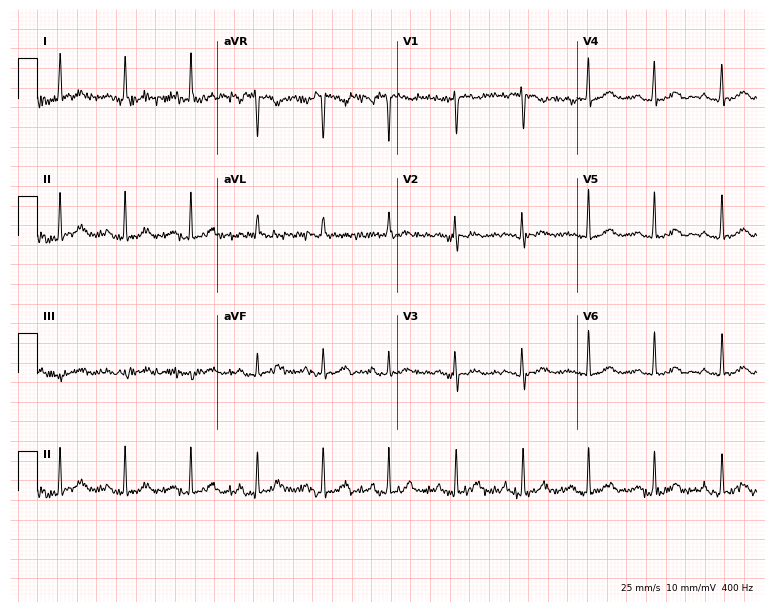
12-lead ECG (7.3-second recording at 400 Hz) from a 41-year-old female. Screened for six findings — first-degree AV block, right bundle branch block, left bundle branch block, sinus bradycardia, atrial fibrillation, sinus tachycardia — none is recorded.